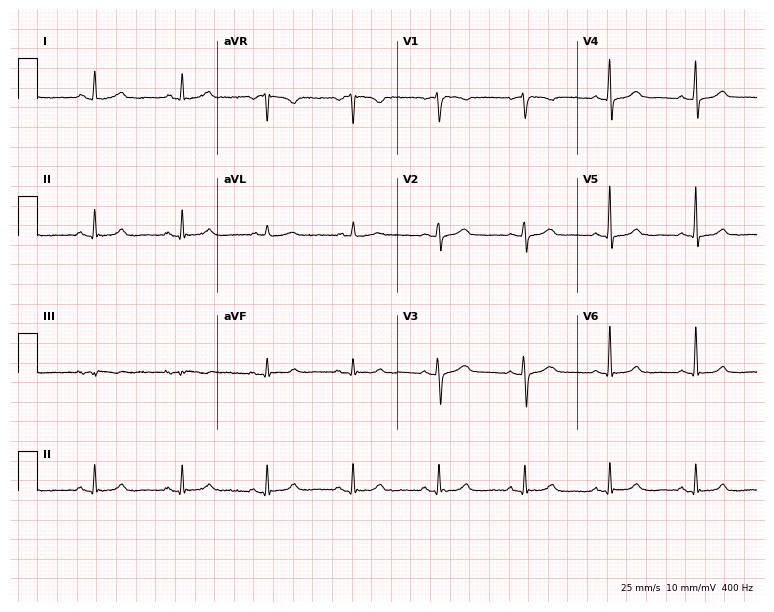
Resting 12-lead electrocardiogram (7.3-second recording at 400 Hz). Patient: a 59-year-old woman. Read as a normal ECG.